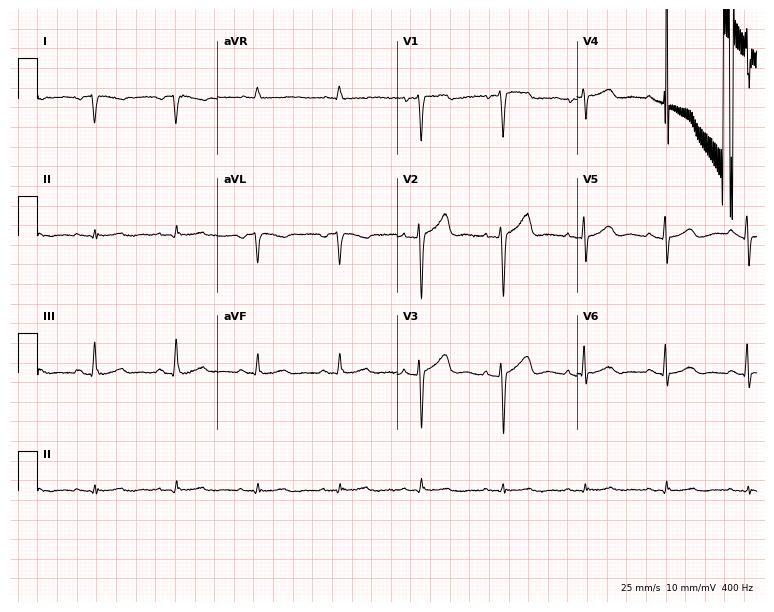
Standard 12-lead ECG recorded from a female patient, 61 years old (7.3-second recording at 400 Hz). None of these six findings is recorded: first-degree AV block, right bundle branch block (RBBB), left bundle branch block (LBBB), sinus bradycardia, atrial fibrillation (AF), sinus tachycardia. Only these six findings were labelled.